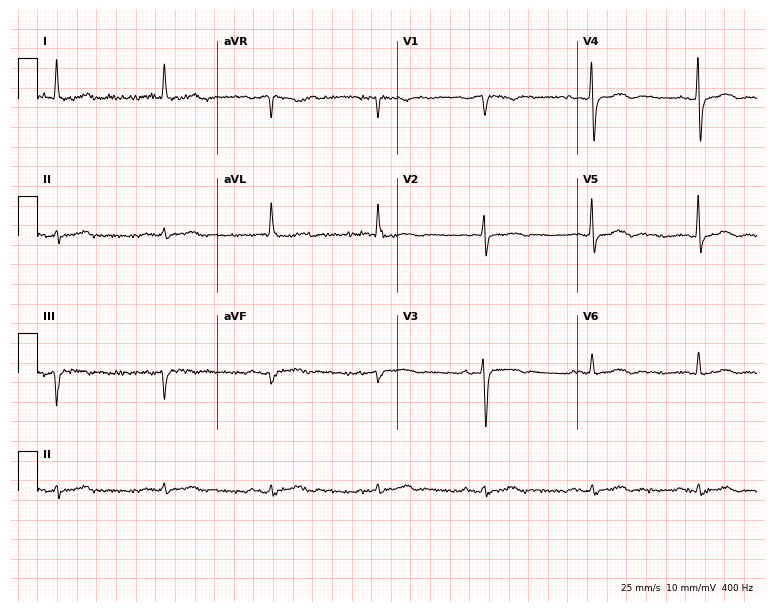
12-lead ECG (7.3-second recording at 400 Hz) from a male patient, 84 years old. Labelled as a normal ECG.